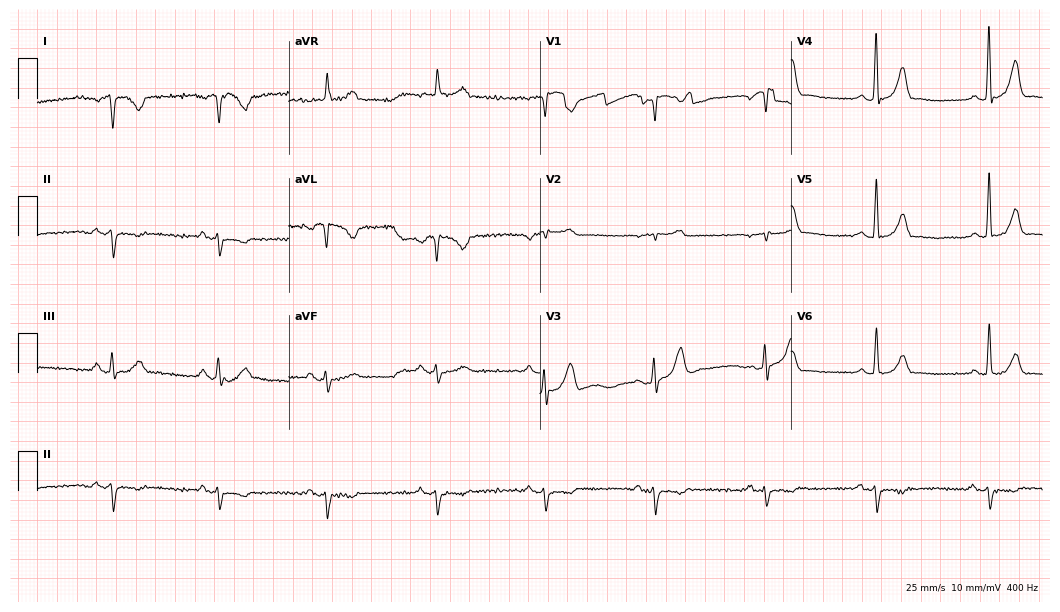
12-lead ECG from a 73-year-old male. Screened for six findings — first-degree AV block, right bundle branch block, left bundle branch block, sinus bradycardia, atrial fibrillation, sinus tachycardia — none is recorded.